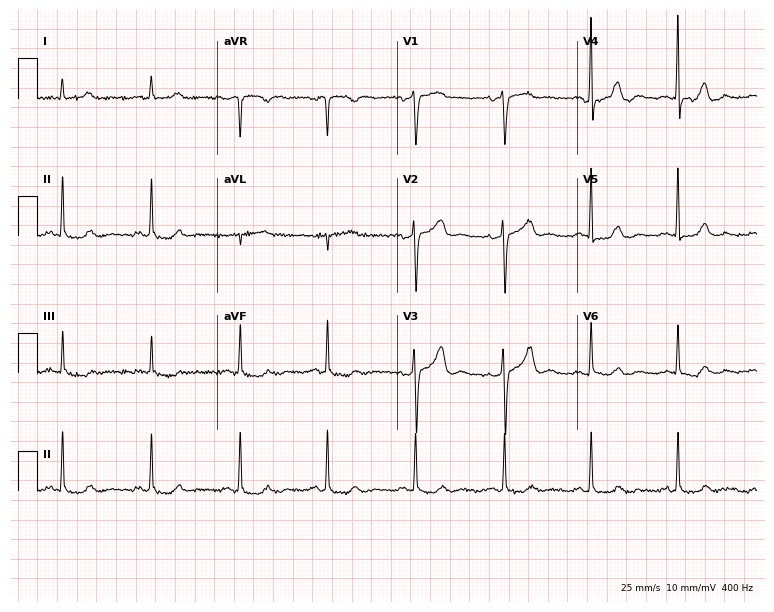
Electrocardiogram (7.3-second recording at 400 Hz), a 77-year-old woman. Of the six screened findings (first-degree AV block, right bundle branch block, left bundle branch block, sinus bradycardia, atrial fibrillation, sinus tachycardia), none is recorded. Findings outside these six are not listed.